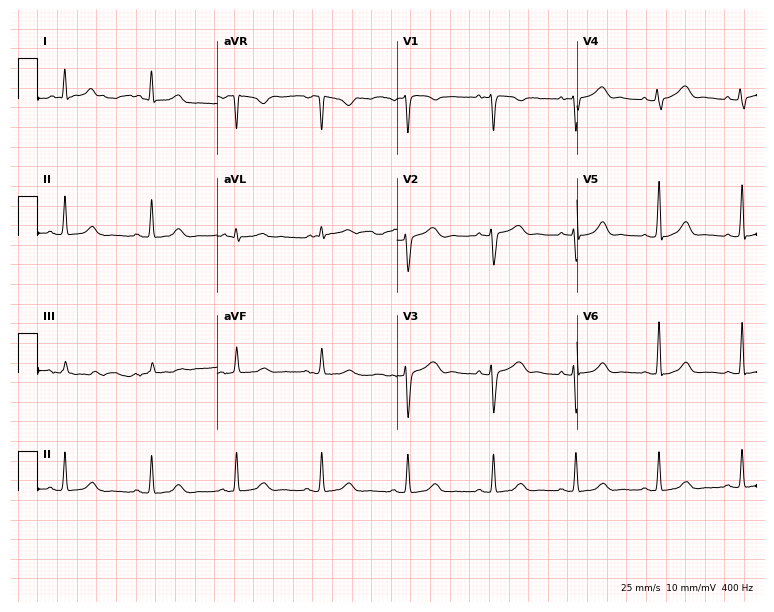
ECG — a 45-year-old female patient. Screened for six findings — first-degree AV block, right bundle branch block (RBBB), left bundle branch block (LBBB), sinus bradycardia, atrial fibrillation (AF), sinus tachycardia — none is recorded. Findings outside these six are not listed.